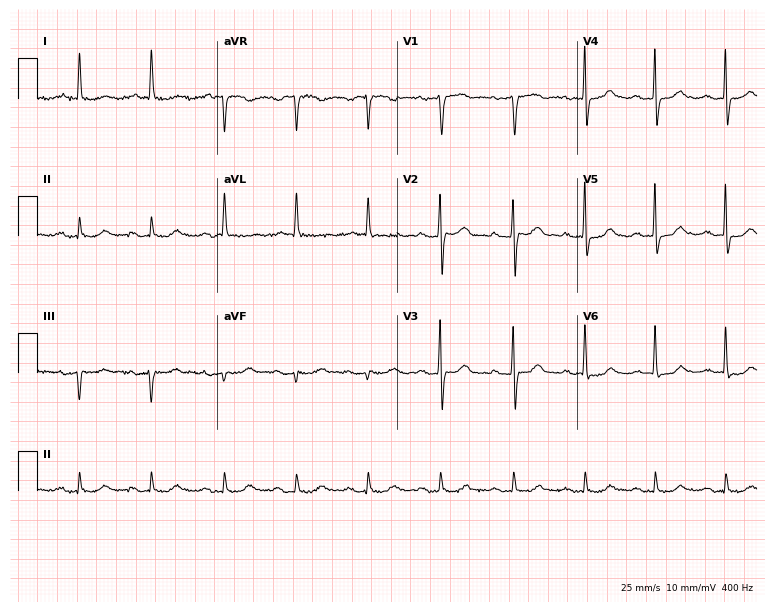
12-lead ECG from a male, 65 years old. No first-degree AV block, right bundle branch block, left bundle branch block, sinus bradycardia, atrial fibrillation or sinus tachycardia recorded for this tracing. Other findings, if any, are not listed.